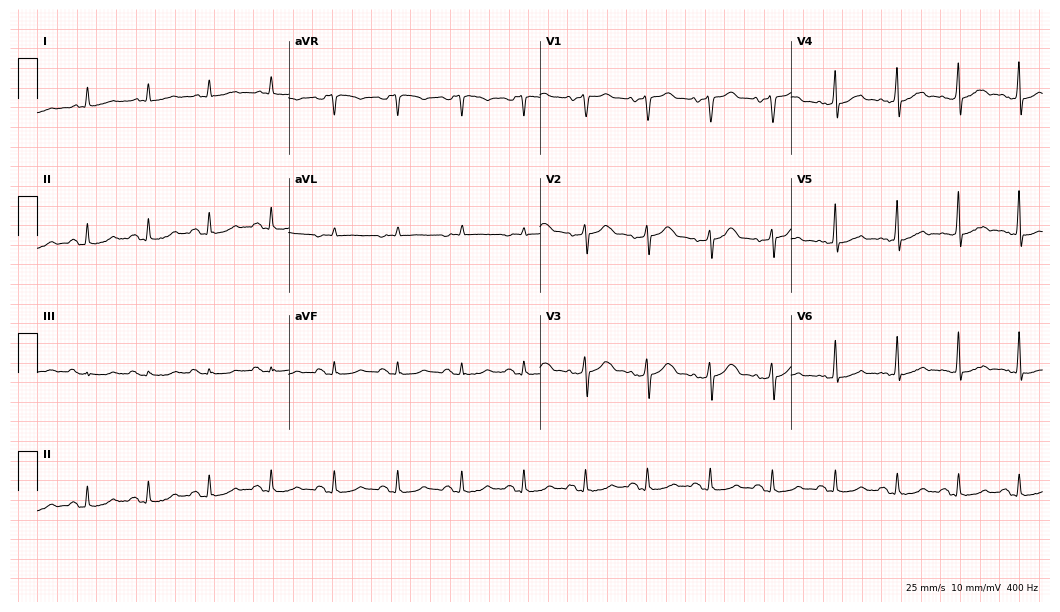
12-lead ECG (10.2-second recording at 400 Hz) from a 67-year-old man. Screened for six findings — first-degree AV block, right bundle branch block, left bundle branch block, sinus bradycardia, atrial fibrillation, sinus tachycardia — none is recorded.